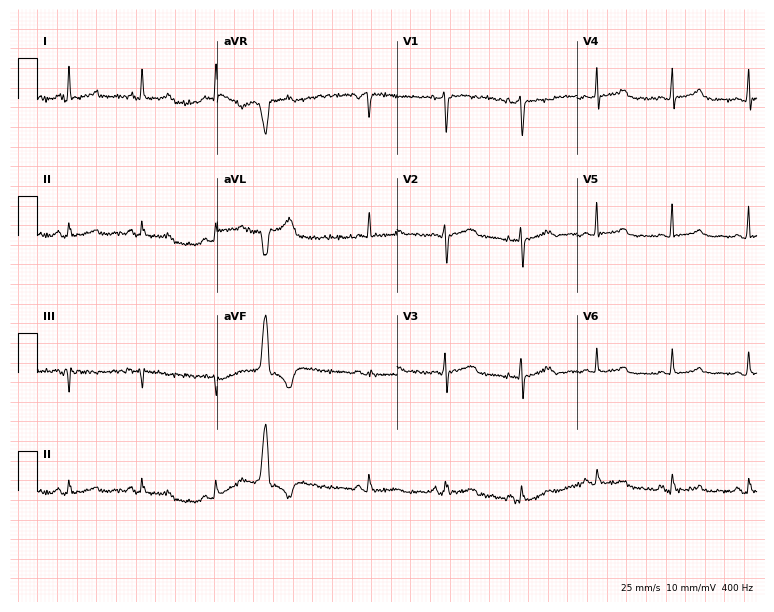
12-lead ECG (7.3-second recording at 400 Hz) from a 50-year-old female. Screened for six findings — first-degree AV block, right bundle branch block, left bundle branch block, sinus bradycardia, atrial fibrillation, sinus tachycardia — none is recorded.